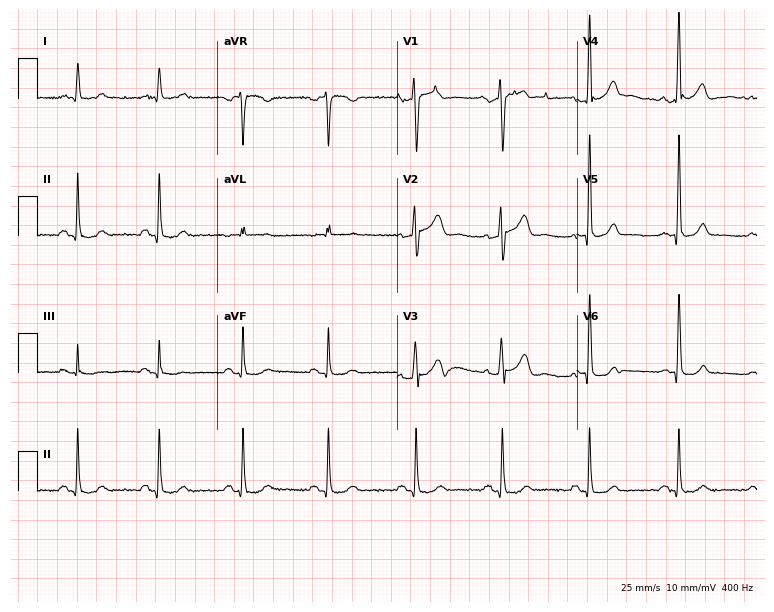
Standard 12-lead ECG recorded from a 59-year-old male patient. None of these six findings is recorded: first-degree AV block, right bundle branch block, left bundle branch block, sinus bradycardia, atrial fibrillation, sinus tachycardia.